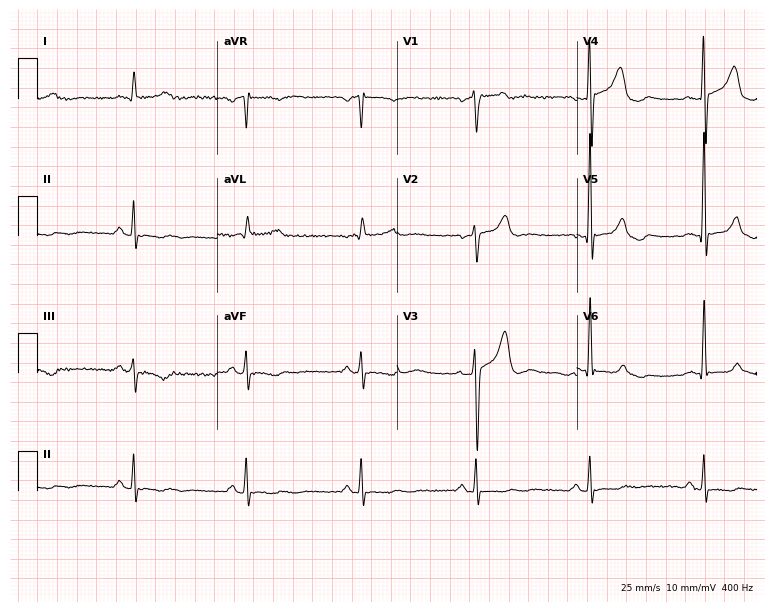
Standard 12-lead ECG recorded from a male, 45 years old (7.3-second recording at 400 Hz). None of these six findings is recorded: first-degree AV block, right bundle branch block, left bundle branch block, sinus bradycardia, atrial fibrillation, sinus tachycardia.